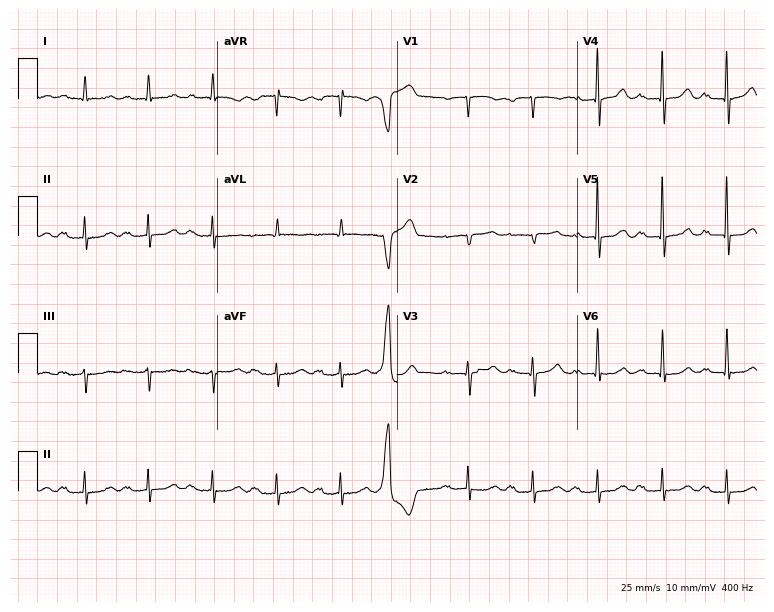
12-lead ECG (7.3-second recording at 400 Hz) from an 82-year-old male. Findings include first-degree AV block.